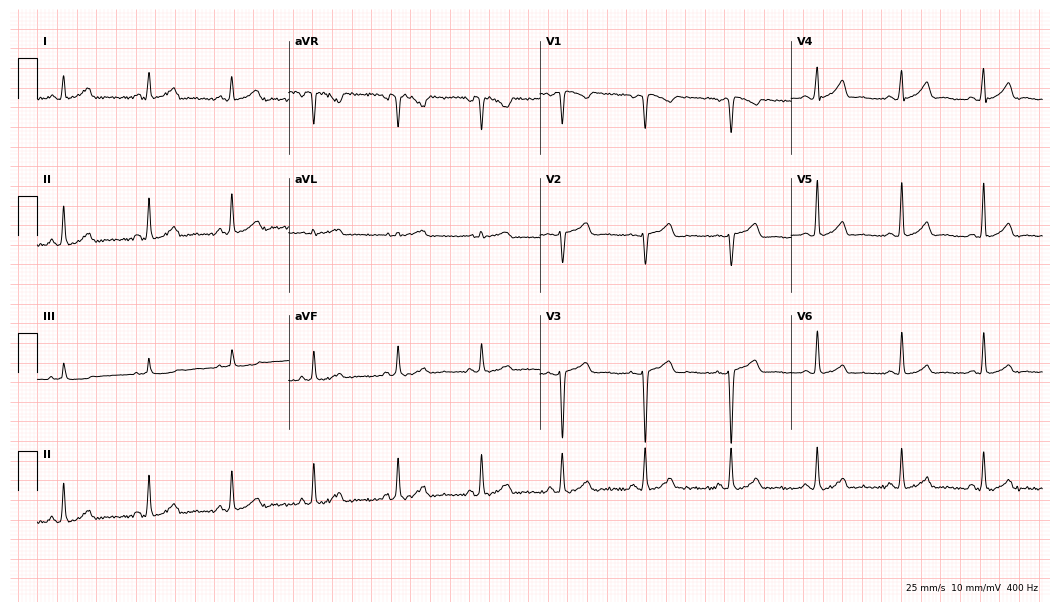
Standard 12-lead ECG recorded from a female patient, 29 years old (10.2-second recording at 400 Hz). None of these six findings is recorded: first-degree AV block, right bundle branch block, left bundle branch block, sinus bradycardia, atrial fibrillation, sinus tachycardia. Findings outside these six are not listed.